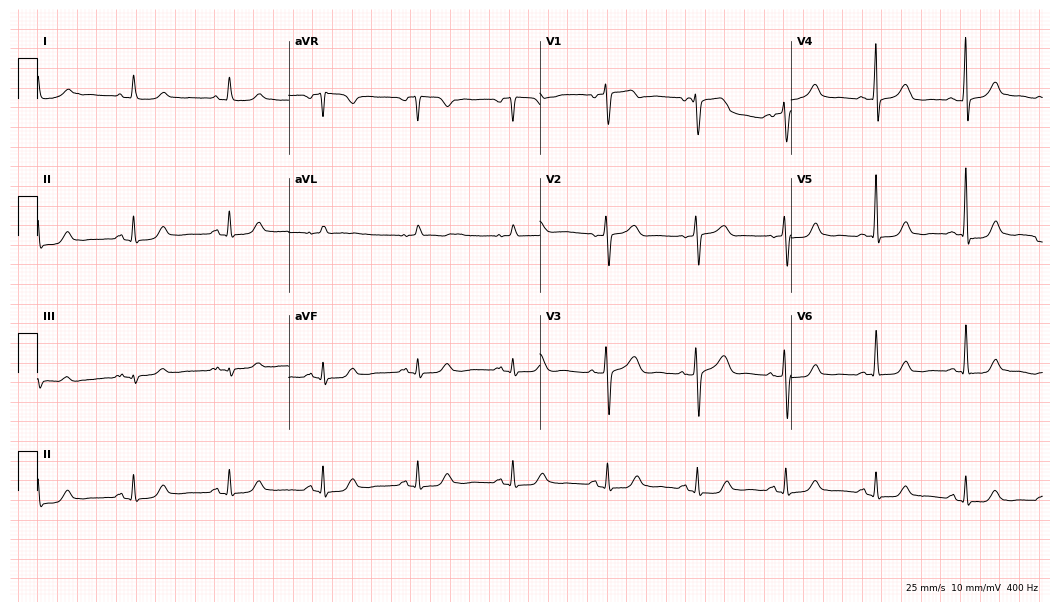
12-lead ECG from an 81-year-old woman. Screened for six findings — first-degree AV block, right bundle branch block, left bundle branch block, sinus bradycardia, atrial fibrillation, sinus tachycardia — none is recorded.